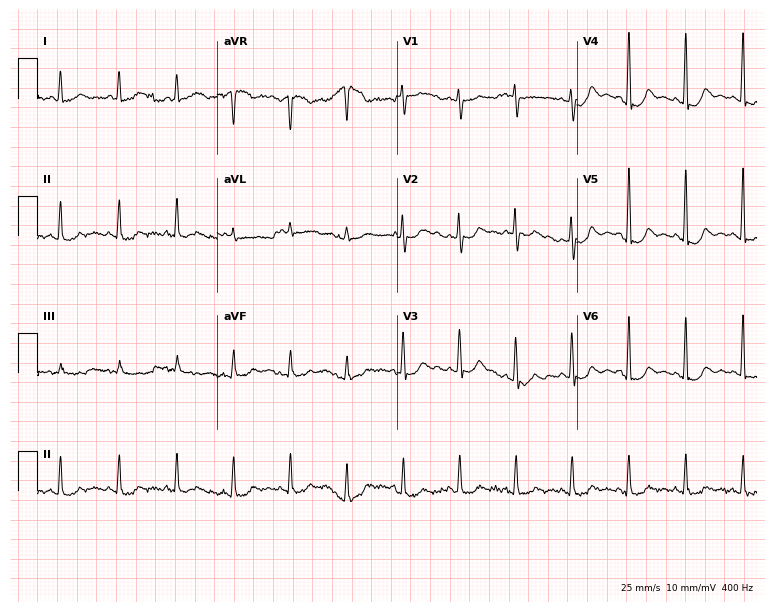
Standard 12-lead ECG recorded from a 63-year-old woman. The tracing shows sinus tachycardia (a sinus rate of 100 beats per minute or more).